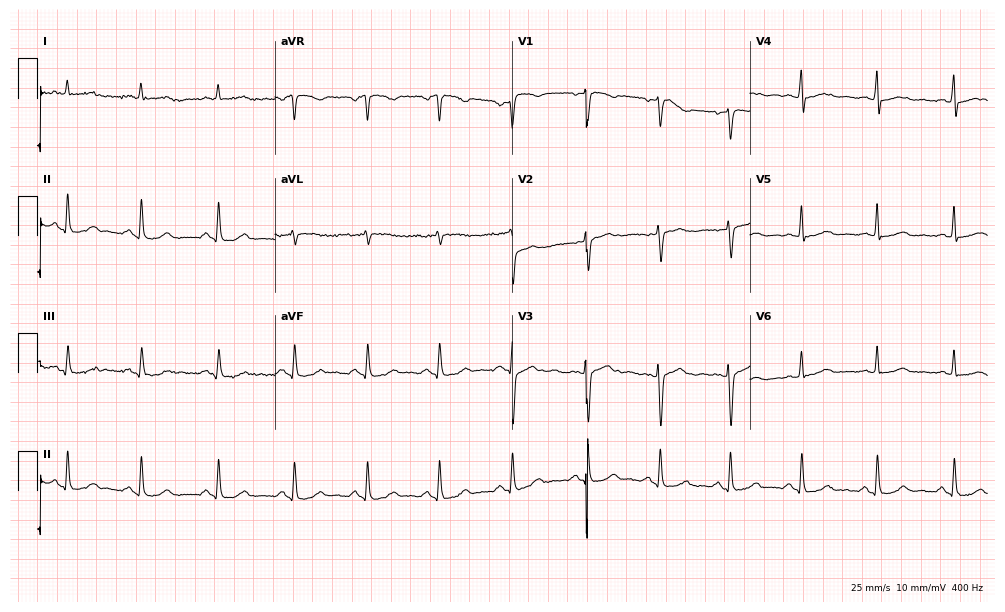
Resting 12-lead electrocardiogram (9.7-second recording at 400 Hz). Patient: a female, 45 years old. Read as a normal ECG.